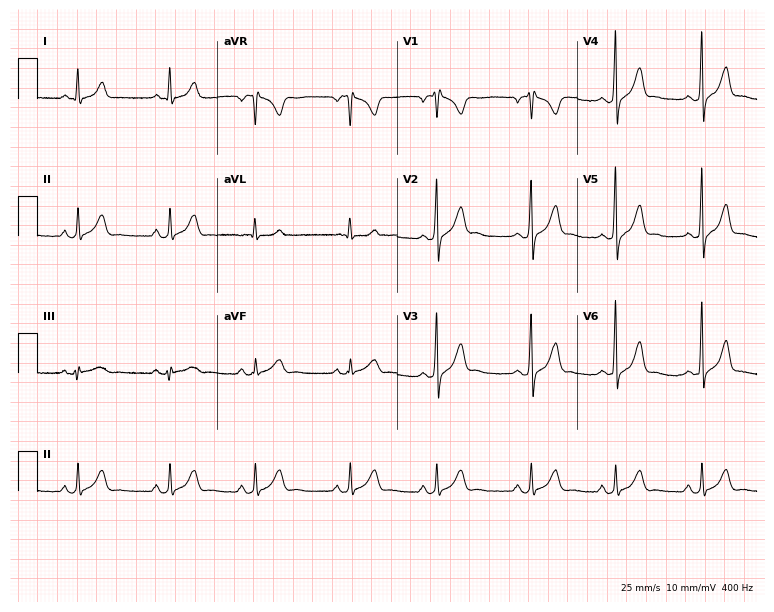
ECG — a male patient, 23 years old. Screened for six findings — first-degree AV block, right bundle branch block, left bundle branch block, sinus bradycardia, atrial fibrillation, sinus tachycardia — none is recorded. Findings outside these six are not listed.